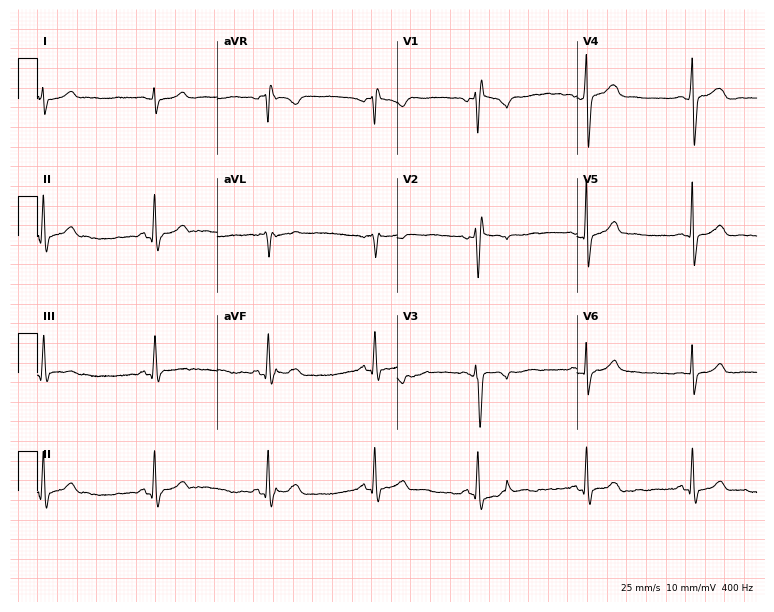
Electrocardiogram, a man, 19 years old. Of the six screened findings (first-degree AV block, right bundle branch block, left bundle branch block, sinus bradycardia, atrial fibrillation, sinus tachycardia), none is recorded. Findings outside these six are not listed.